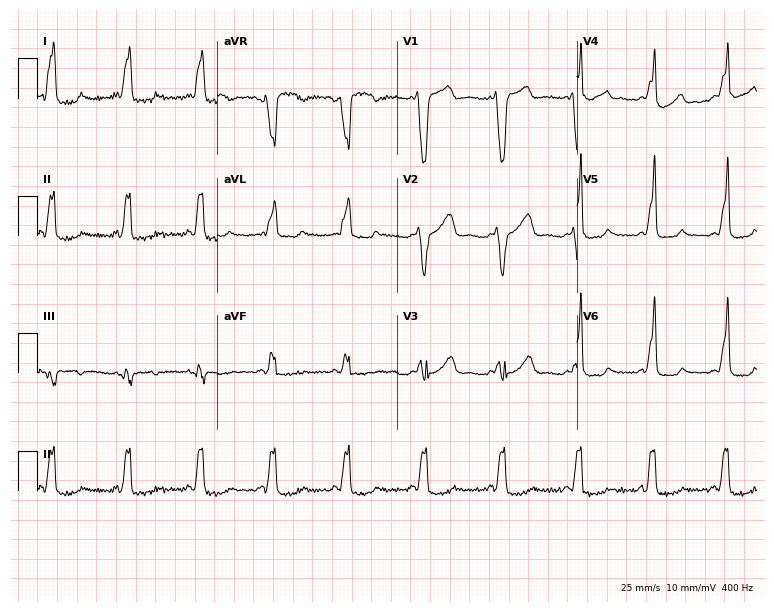
12-lead ECG from a woman, 32 years old. No first-degree AV block, right bundle branch block (RBBB), left bundle branch block (LBBB), sinus bradycardia, atrial fibrillation (AF) or sinus tachycardia recorded for this tracing.